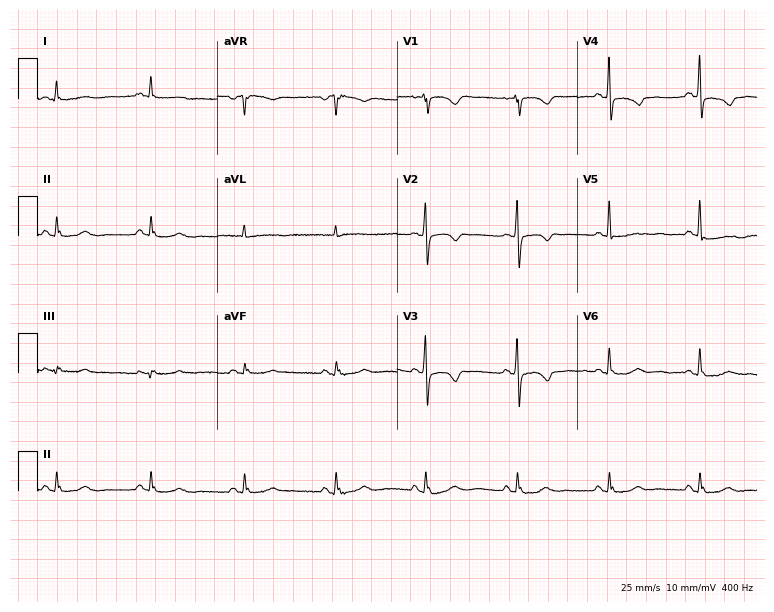
Standard 12-lead ECG recorded from a 78-year-old female (7.3-second recording at 400 Hz). None of these six findings is recorded: first-degree AV block, right bundle branch block, left bundle branch block, sinus bradycardia, atrial fibrillation, sinus tachycardia.